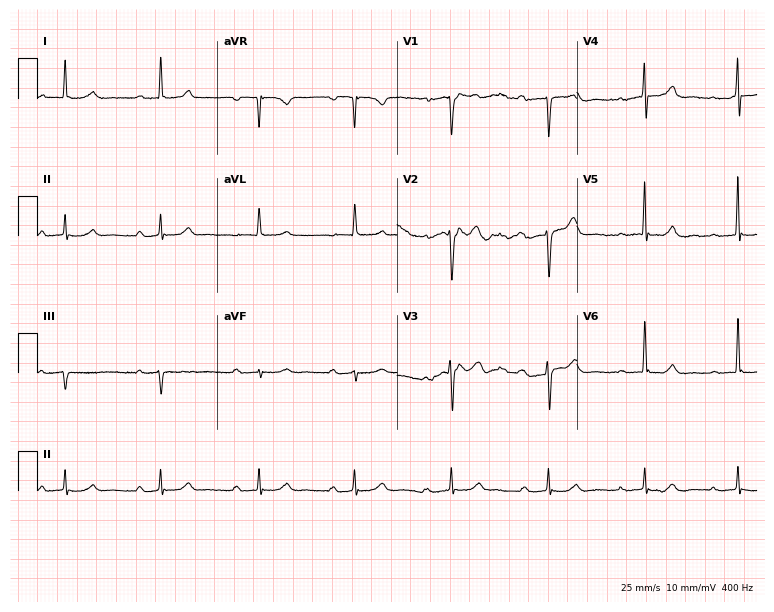
12-lead ECG from a 65-year-old male patient (7.3-second recording at 400 Hz). Shows first-degree AV block.